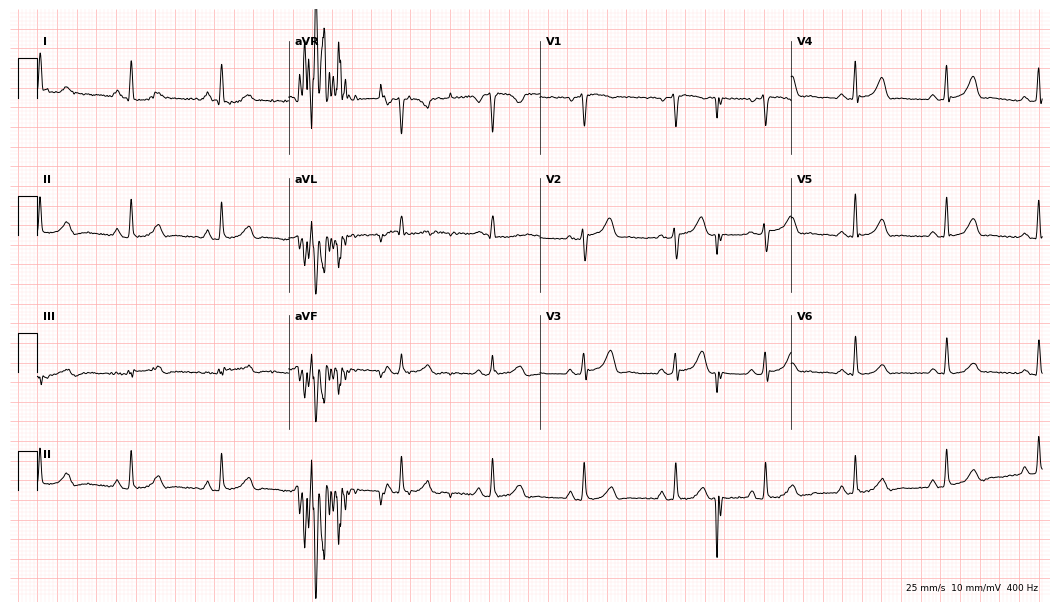
ECG — a 44-year-old female. Labelled as a normal ECG.